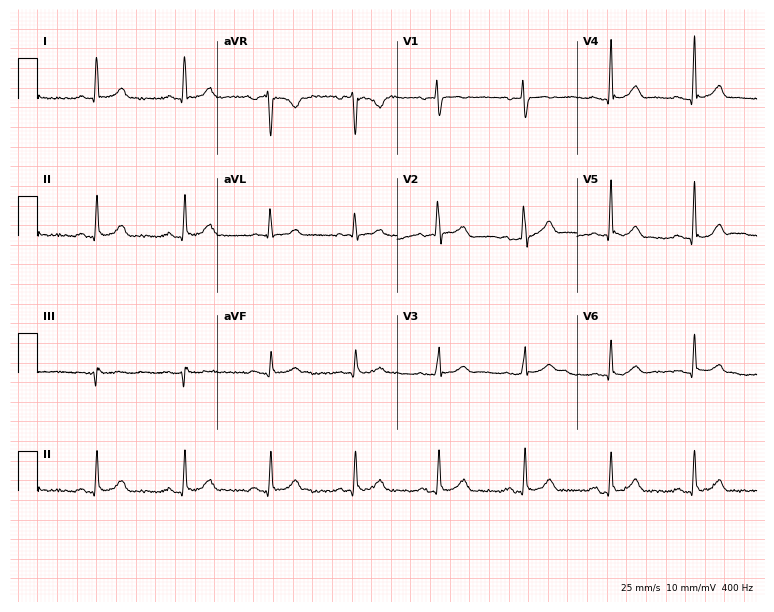
Resting 12-lead electrocardiogram (7.3-second recording at 400 Hz). Patient: a female, 43 years old. Read as a normal ECG.